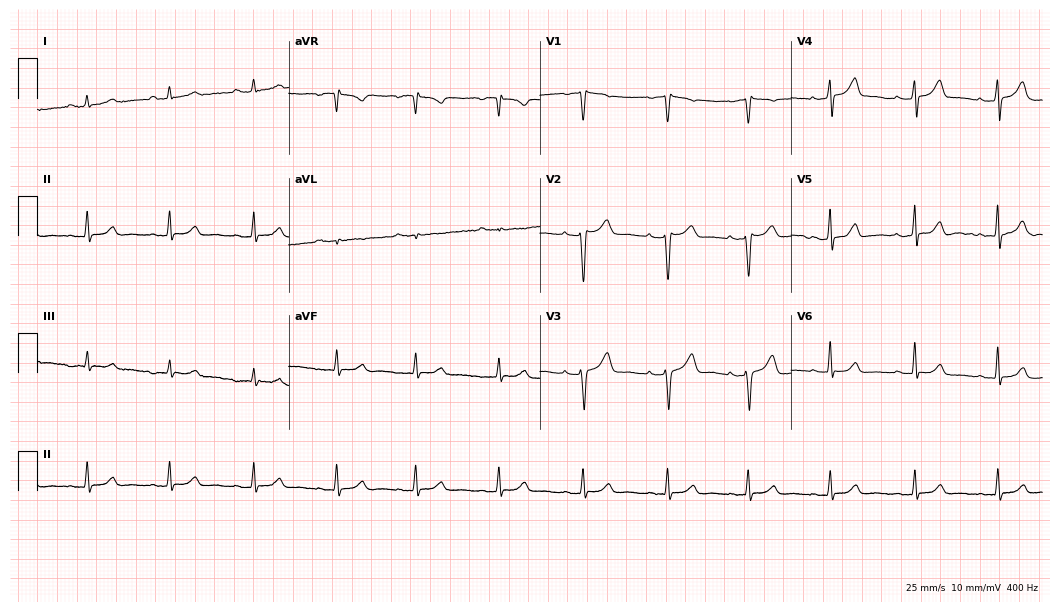
Standard 12-lead ECG recorded from a 40-year-old woman (10.2-second recording at 400 Hz). Read as a normal ECG.